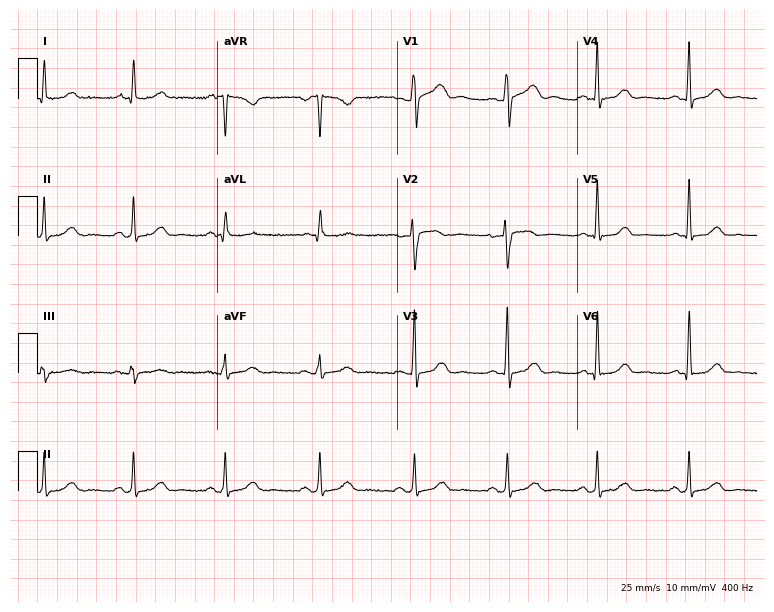
Standard 12-lead ECG recorded from a female, 57 years old. None of these six findings is recorded: first-degree AV block, right bundle branch block, left bundle branch block, sinus bradycardia, atrial fibrillation, sinus tachycardia. Other findings, if any, are not listed.